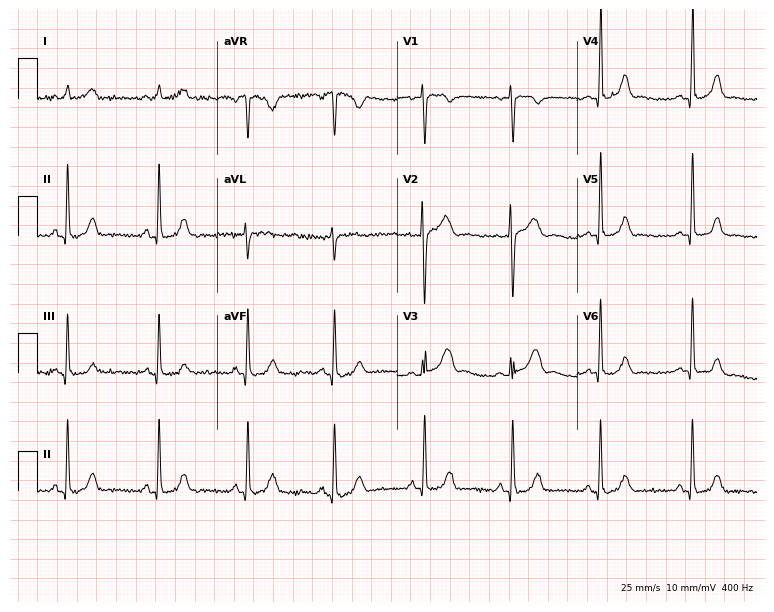
ECG — a 31-year-old woman. Labelled as a normal ECG.